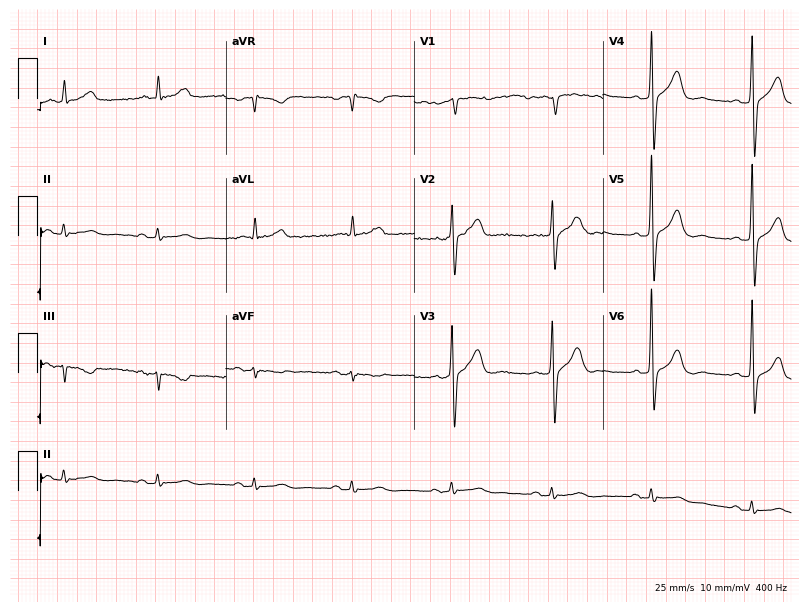
ECG — a 79-year-old male patient. Labelled as a normal ECG.